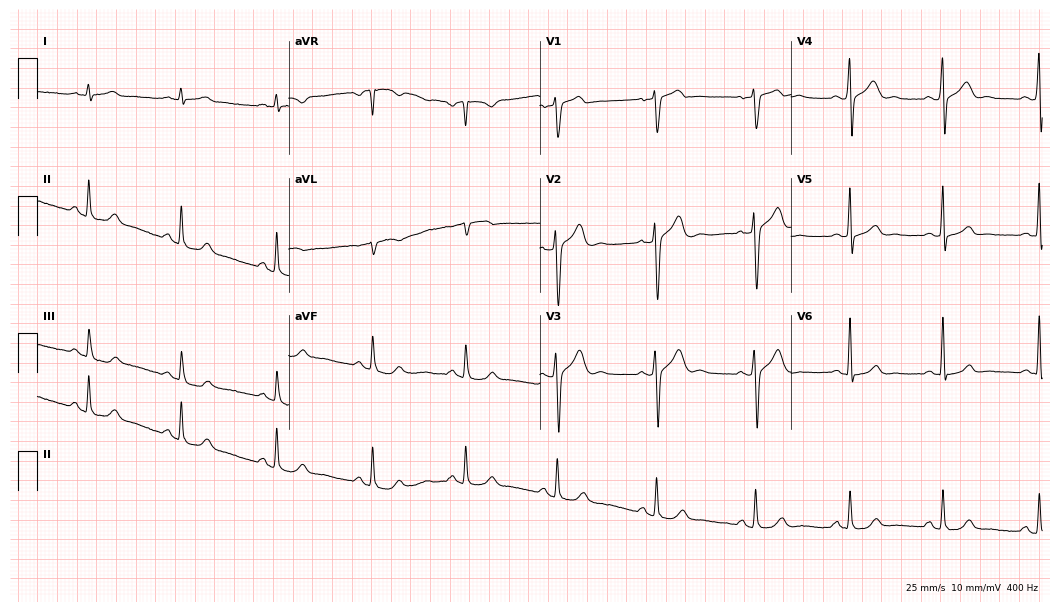
Resting 12-lead electrocardiogram (10.2-second recording at 400 Hz). Patient: a male, 31 years old. Read as a normal ECG.